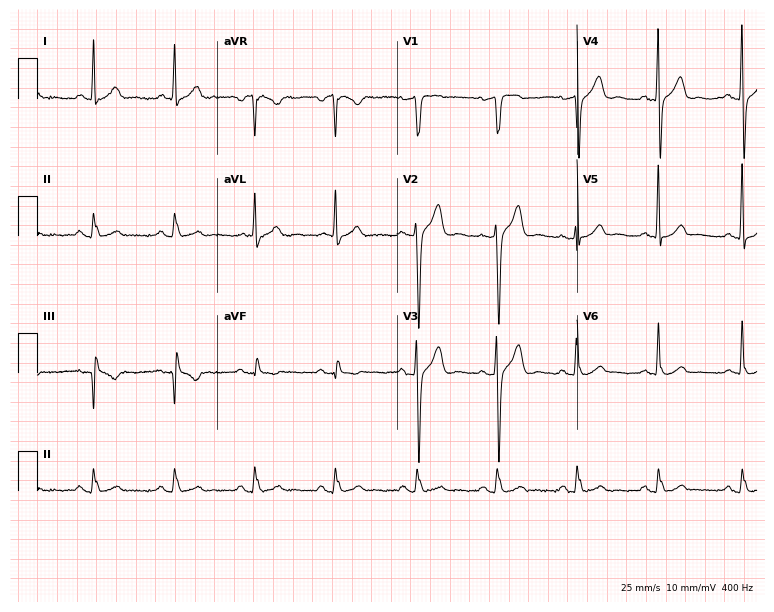
12-lead ECG from a 59-year-old man (7.3-second recording at 400 Hz). No first-degree AV block, right bundle branch block, left bundle branch block, sinus bradycardia, atrial fibrillation or sinus tachycardia recorded for this tracing.